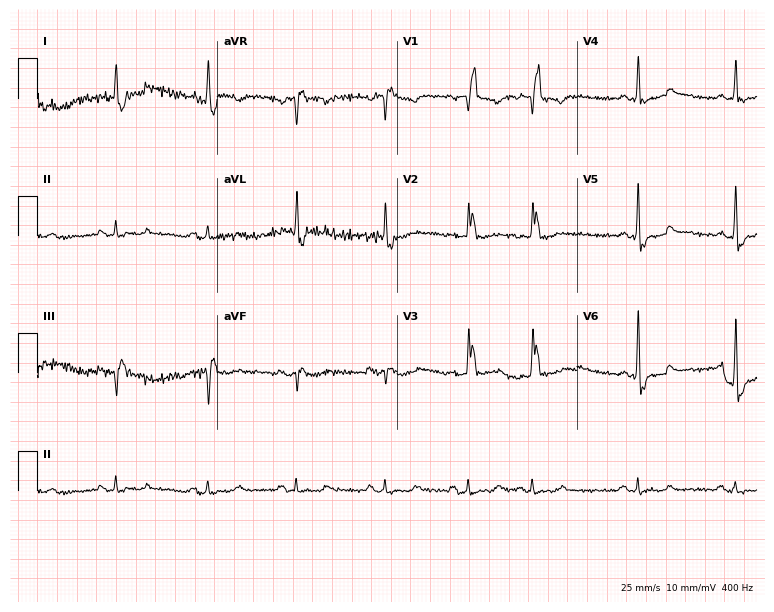
ECG (7.3-second recording at 400 Hz) — a 74-year-old male. Findings include right bundle branch block.